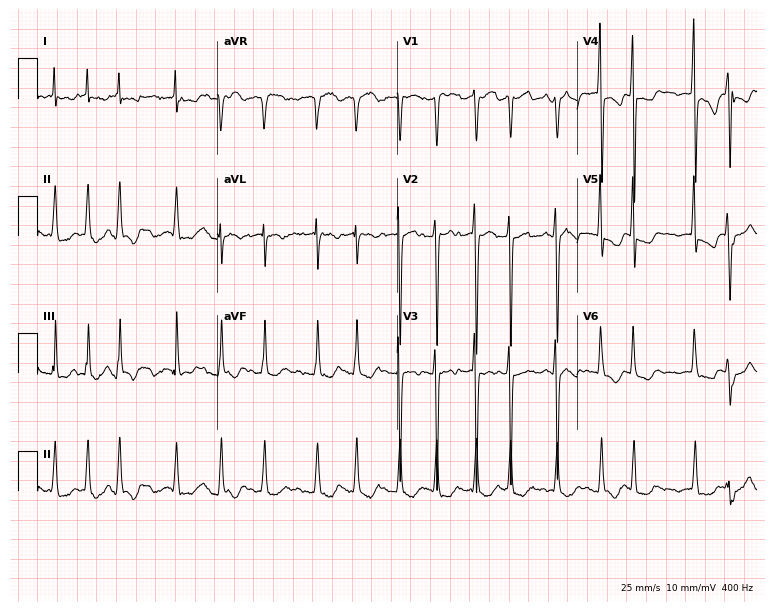
ECG — a female patient, 59 years old. Findings include atrial fibrillation (AF).